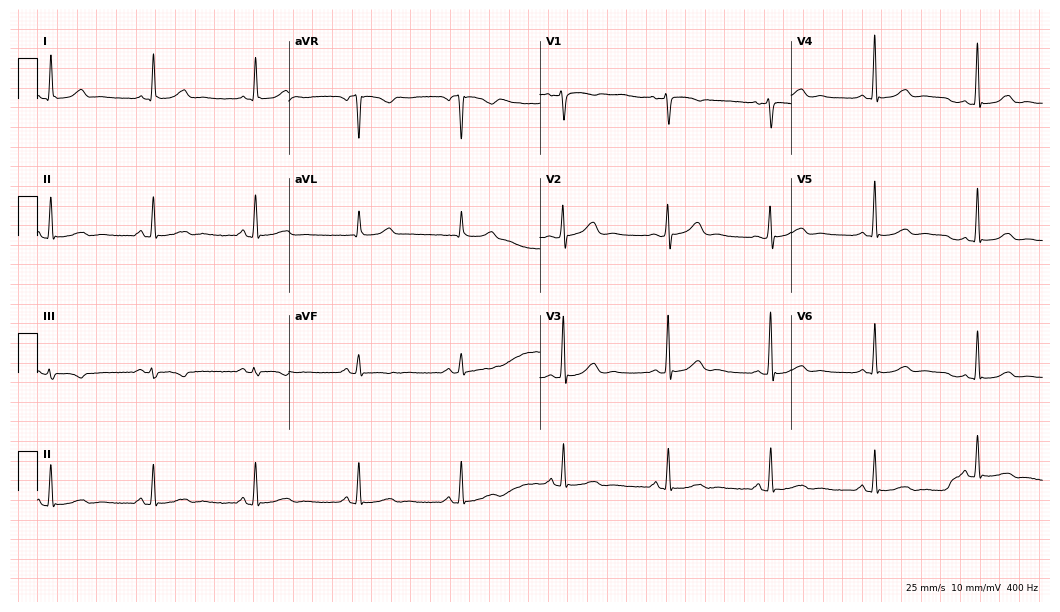
Standard 12-lead ECG recorded from a 51-year-old female patient (10.2-second recording at 400 Hz). None of these six findings is recorded: first-degree AV block, right bundle branch block (RBBB), left bundle branch block (LBBB), sinus bradycardia, atrial fibrillation (AF), sinus tachycardia. Findings outside these six are not listed.